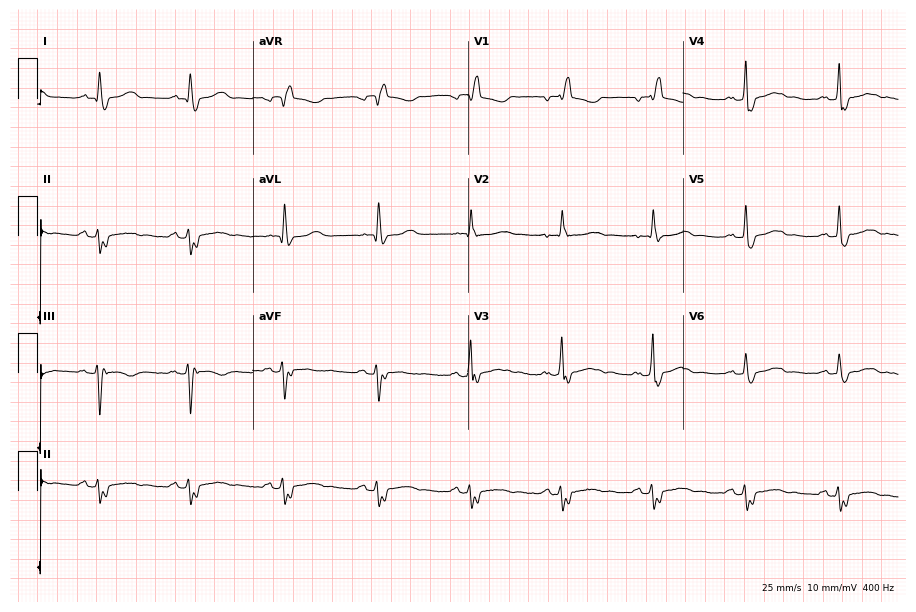
ECG — a male, 67 years old. Screened for six findings — first-degree AV block, right bundle branch block, left bundle branch block, sinus bradycardia, atrial fibrillation, sinus tachycardia — none is recorded. Only these six findings were labelled.